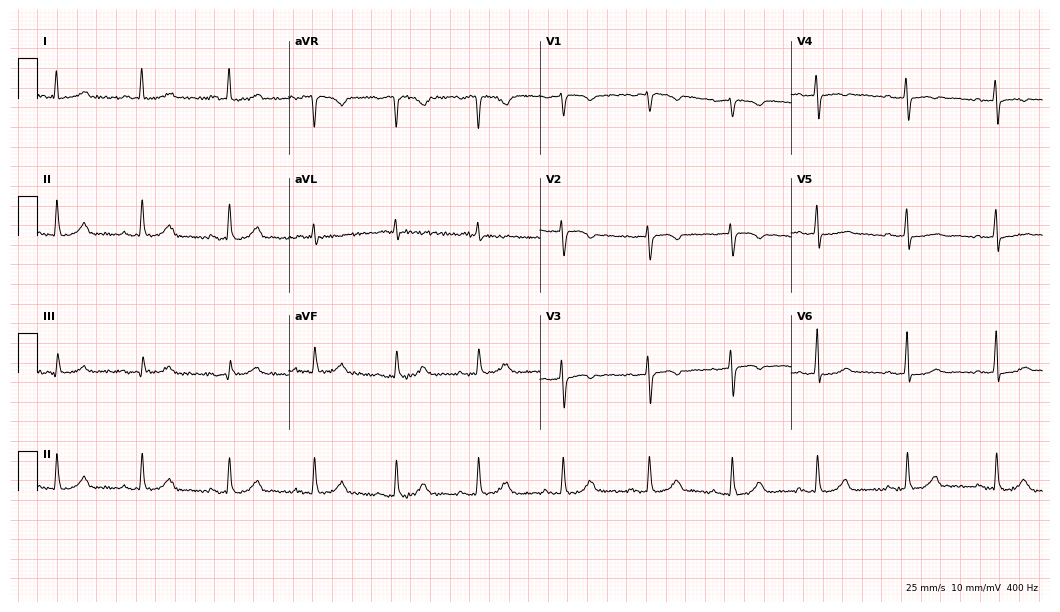
Standard 12-lead ECG recorded from a 60-year-old female (10.2-second recording at 400 Hz). None of these six findings is recorded: first-degree AV block, right bundle branch block, left bundle branch block, sinus bradycardia, atrial fibrillation, sinus tachycardia. Only these six findings were labelled.